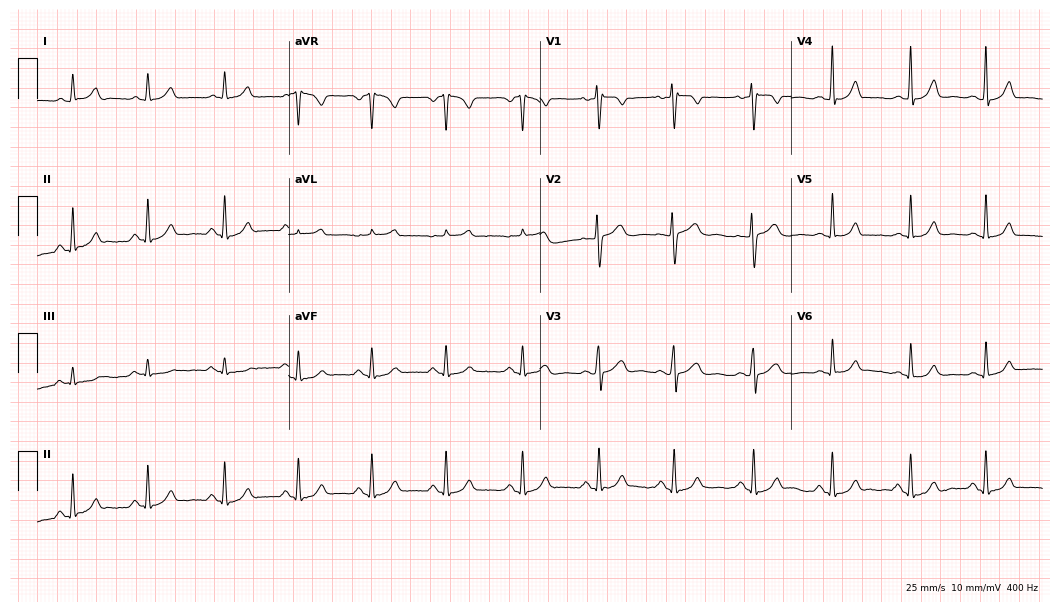
Resting 12-lead electrocardiogram. Patient: a 45-year-old female. Read as a normal ECG.